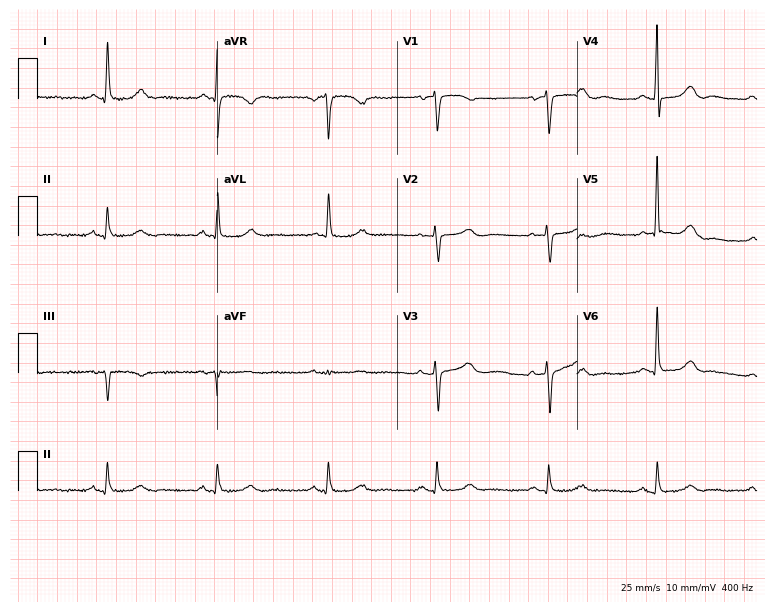
ECG — a female, 79 years old. Labelled as a normal ECG.